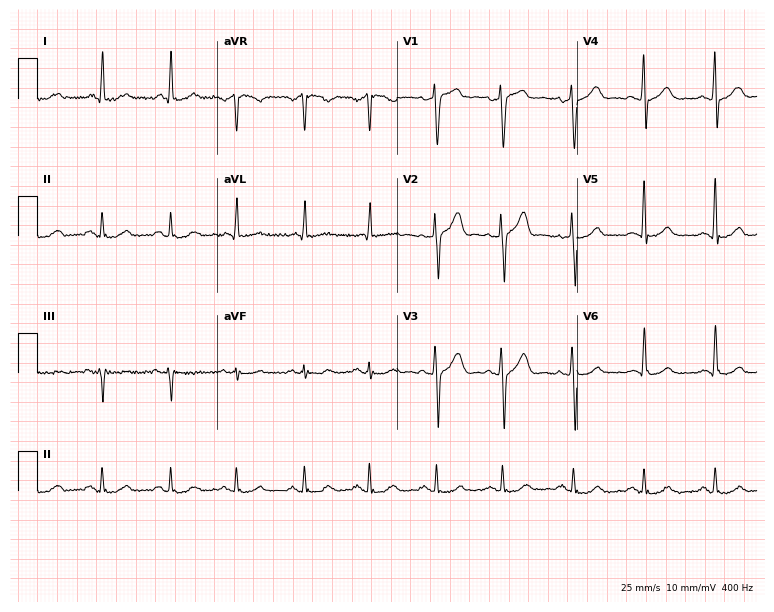
Resting 12-lead electrocardiogram. Patient: a male, 57 years old. None of these six findings is recorded: first-degree AV block, right bundle branch block, left bundle branch block, sinus bradycardia, atrial fibrillation, sinus tachycardia. Other findings, if any, are not listed.